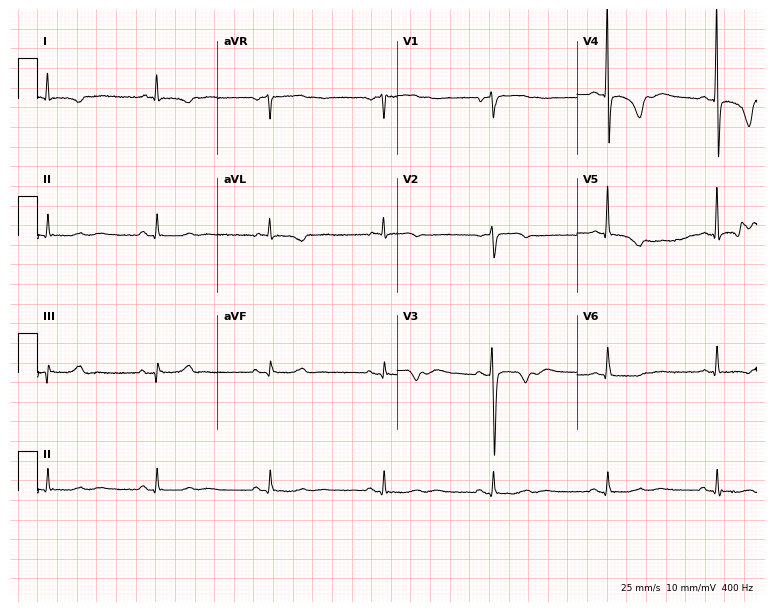
12-lead ECG from a 75-year-old female patient (7.3-second recording at 400 Hz). No first-degree AV block, right bundle branch block, left bundle branch block, sinus bradycardia, atrial fibrillation or sinus tachycardia recorded for this tracing. Only these six findings were labelled.